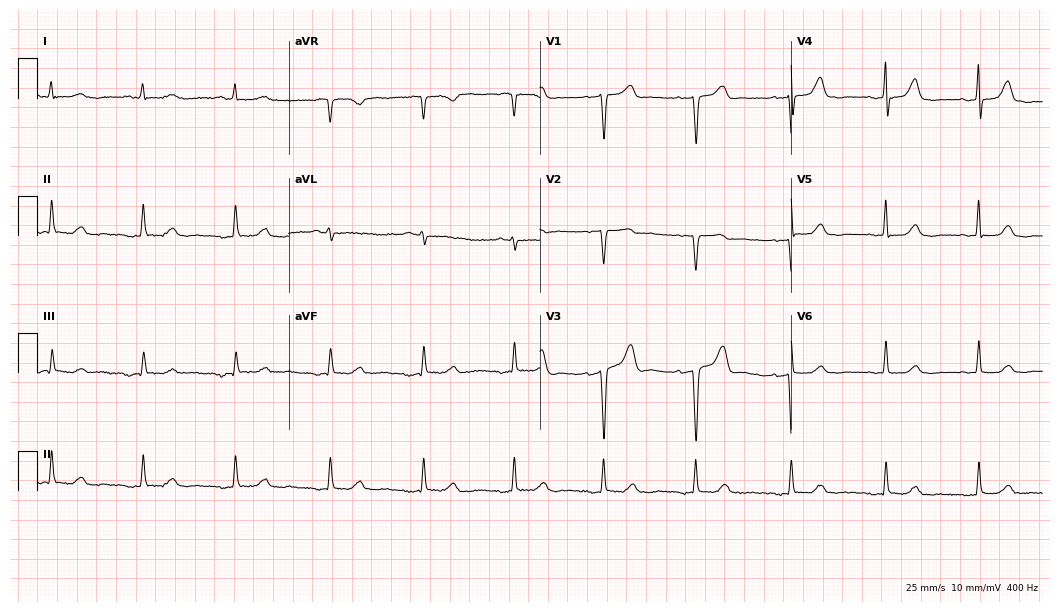
12-lead ECG from a 72-year-old female patient. Screened for six findings — first-degree AV block, right bundle branch block, left bundle branch block, sinus bradycardia, atrial fibrillation, sinus tachycardia — none is recorded.